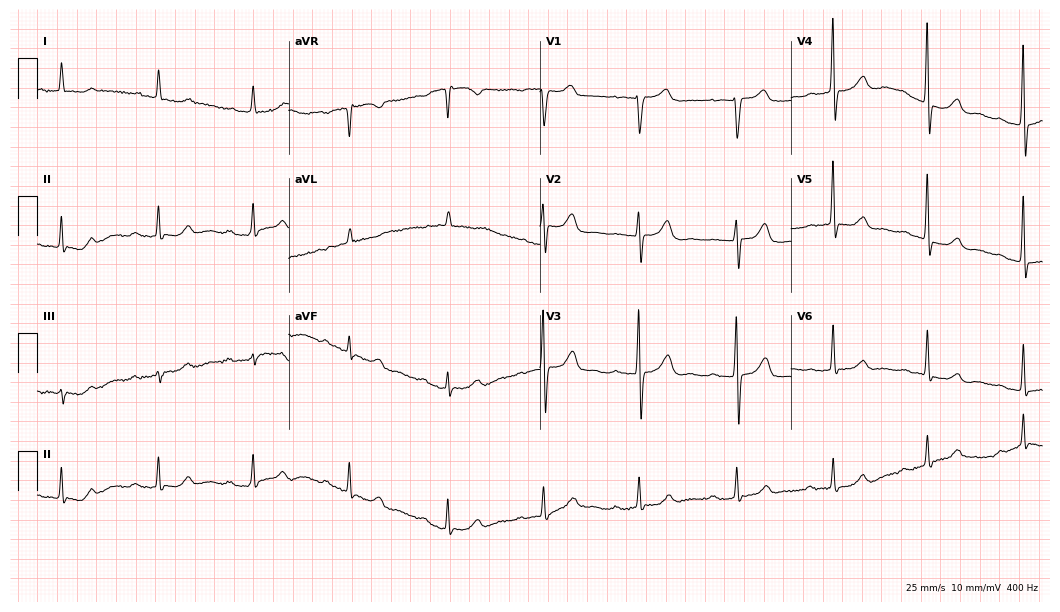
Electrocardiogram, a woman, 79 years old. Interpretation includes first-degree AV block.